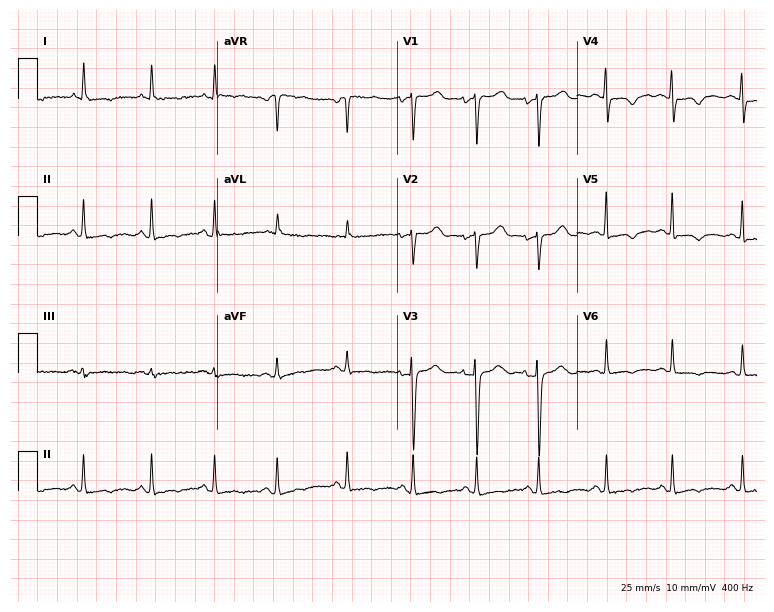
12-lead ECG from a female, 67 years old. Screened for six findings — first-degree AV block, right bundle branch block (RBBB), left bundle branch block (LBBB), sinus bradycardia, atrial fibrillation (AF), sinus tachycardia — none is recorded.